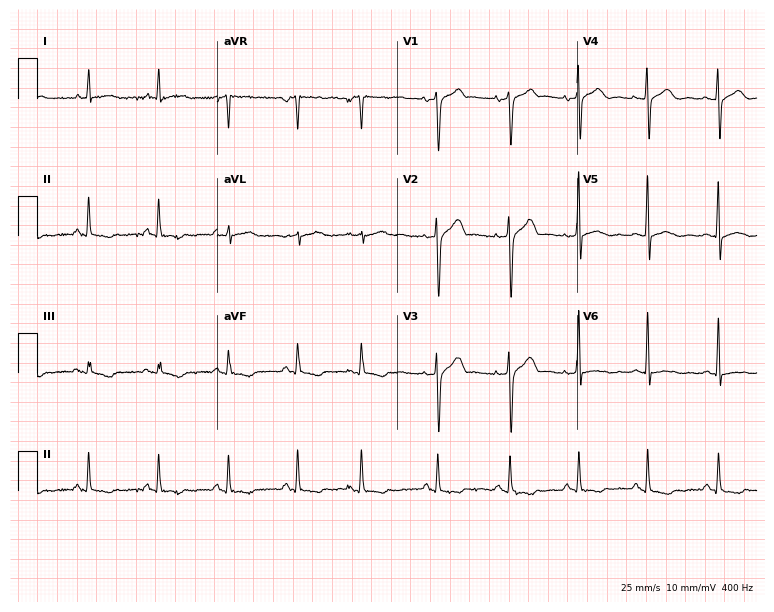
Electrocardiogram, a 75-year-old female. Of the six screened findings (first-degree AV block, right bundle branch block, left bundle branch block, sinus bradycardia, atrial fibrillation, sinus tachycardia), none is recorded. Other findings, if any, are not listed.